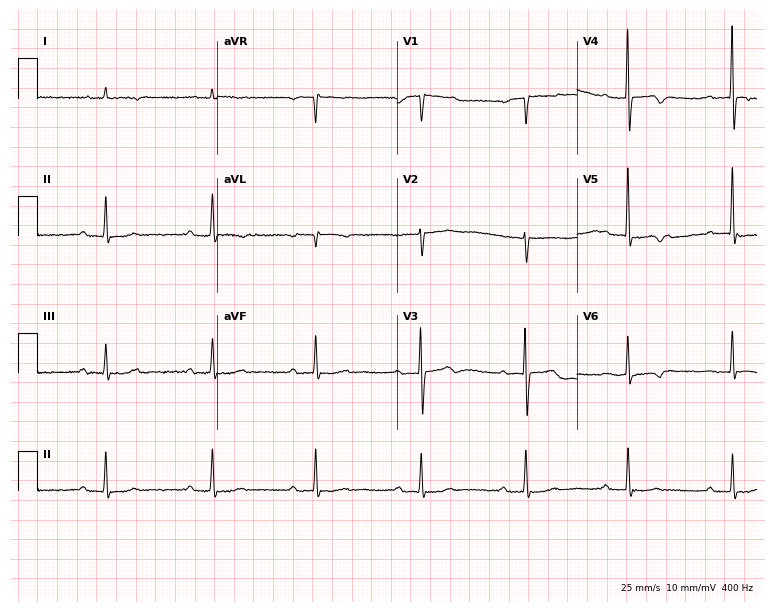
Resting 12-lead electrocardiogram (7.3-second recording at 400 Hz). Patient: a man, 85 years old. None of these six findings is recorded: first-degree AV block, right bundle branch block, left bundle branch block, sinus bradycardia, atrial fibrillation, sinus tachycardia. Other findings, if any, are not listed.